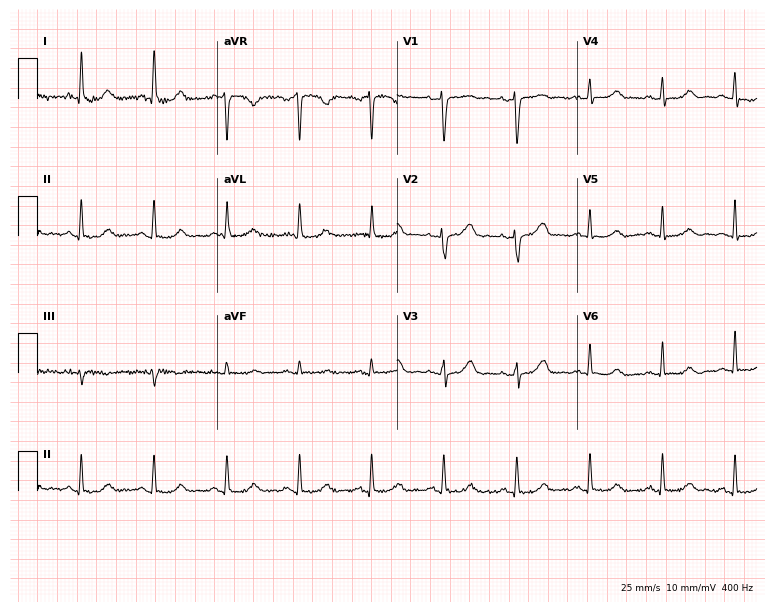
Standard 12-lead ECG recorded from a 60-year-old female (7.3-second recording at 400 Hz). None of these six findings is recorded: first-degree AV block, right bundle branch block (RBBB), left bundle branch block (LBBB), sinus bradycardia, atrial fibrillation (AF), sinus tachycardia. Other findings, if any, are not listed.